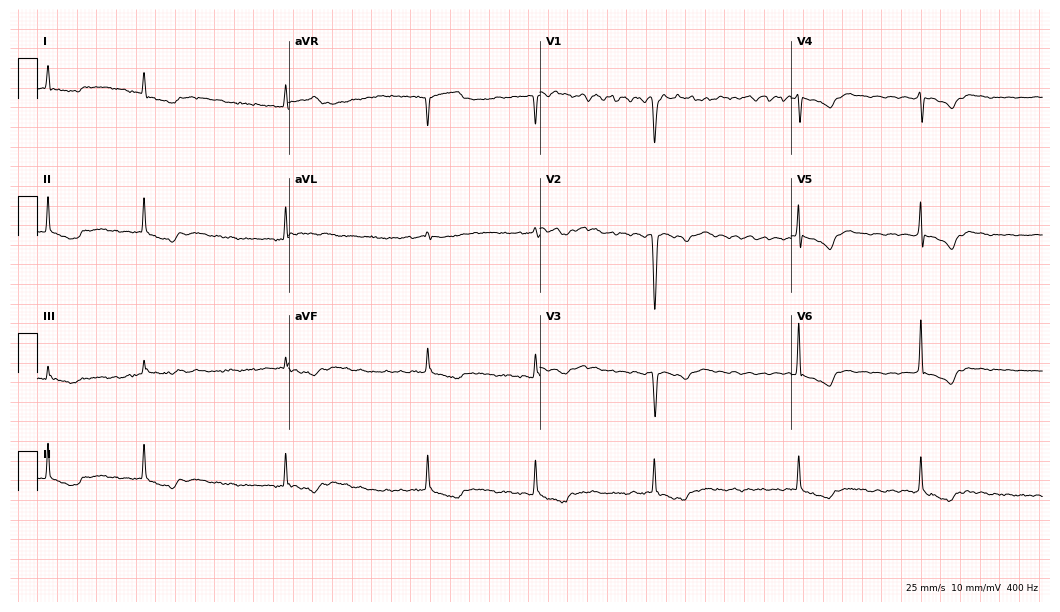
12-lead ECG from a woman, 79 years old (10.2-second recording at 400 Hz). Shows atrial fibrillation.